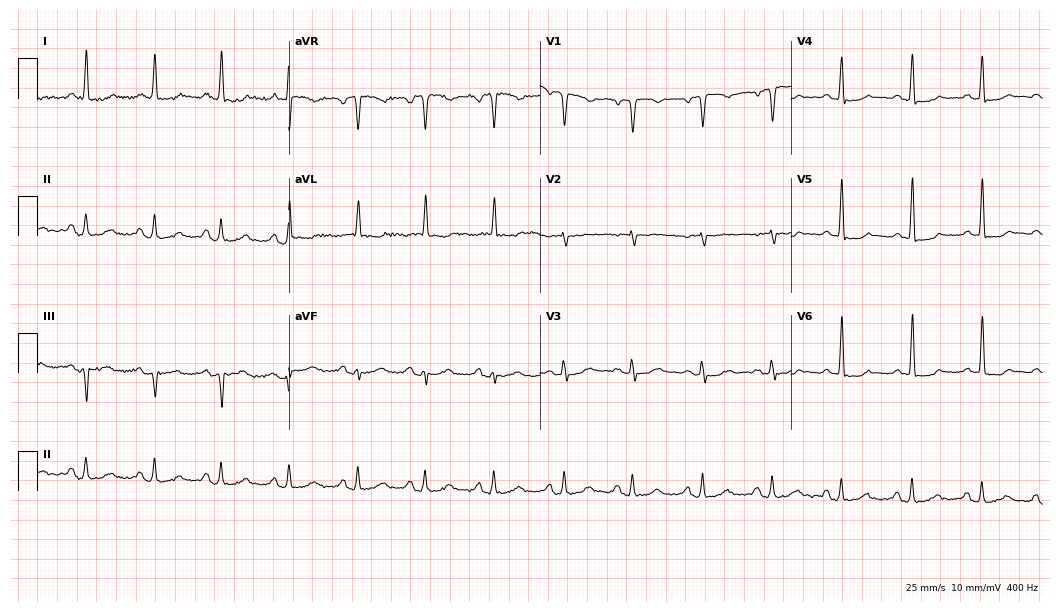
Resting 12-lead electrocardiogram. Patient: a woman, 81 years old. Read as a normal ECG.